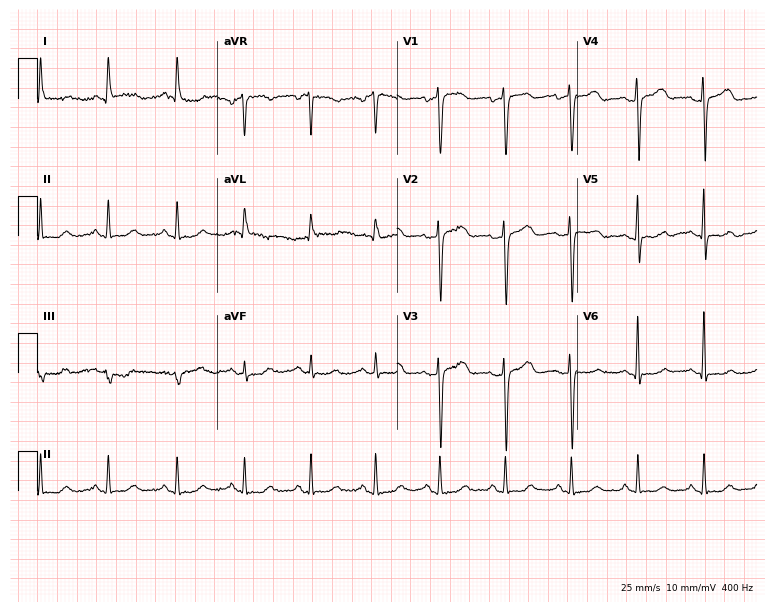
ECG (7.3-second recording at 400 Hz) — a 59-year-old female. Screened for six findings — first-degree AV block, right bundle branch block (RBBB), left bundle branch block (LBBB), sinus bradycardia, atrial fibrillation (AF), sinus tachycardia — none is recorded.